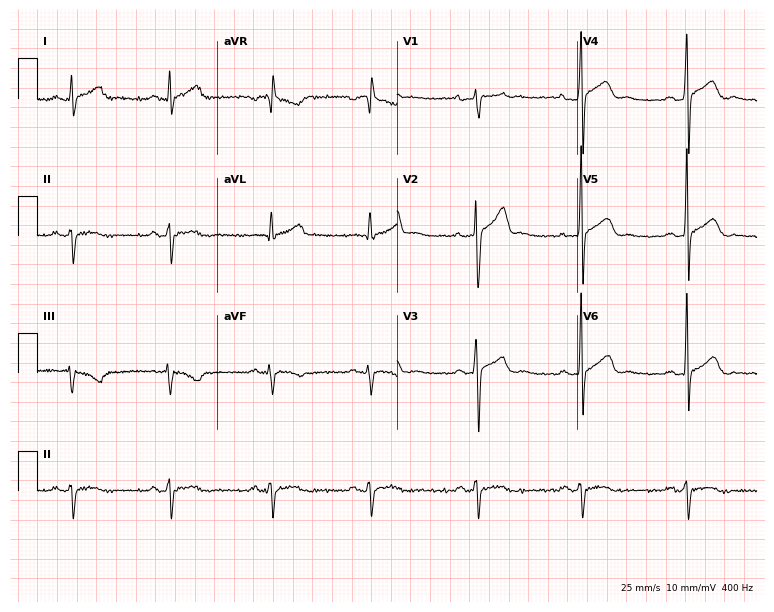
12-lead ECG (7.3-second recording at 400 Hz) from a 27-year-old man. Screened for six findings — first-degree AV block, right bundle branch block, left bundle branch block, sinus bradycardia, atrial fibrillation, sinus tachycardia — none is recorded.